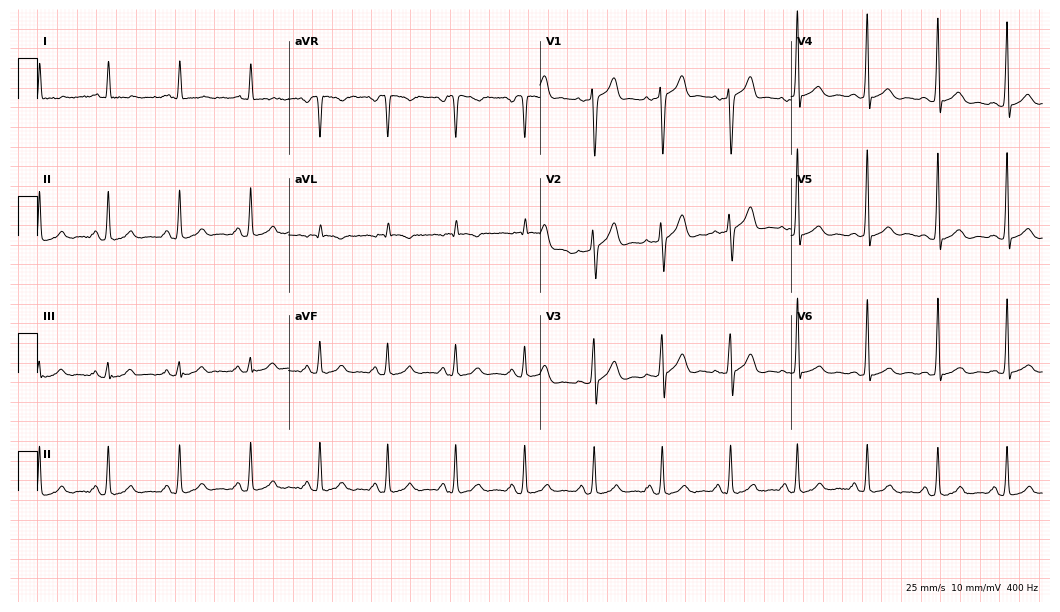
12-lead ECG from a 41-year-old male. Labelled as a normal ECG.